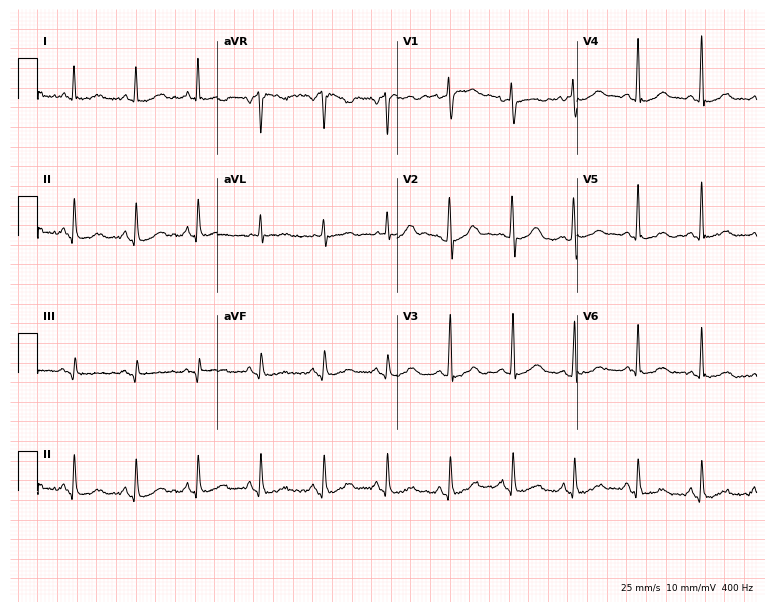
ECG — a 65-year-old female. Labelled as a normal ECG.